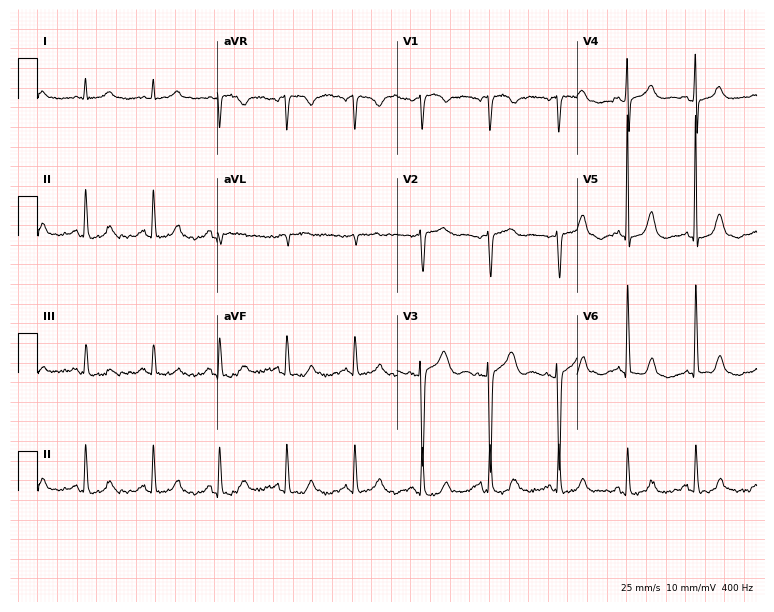
12-lead ECG (7.3-second recording at 400 Hz) from a female, 80 years old. Labelled as a normal ECG.